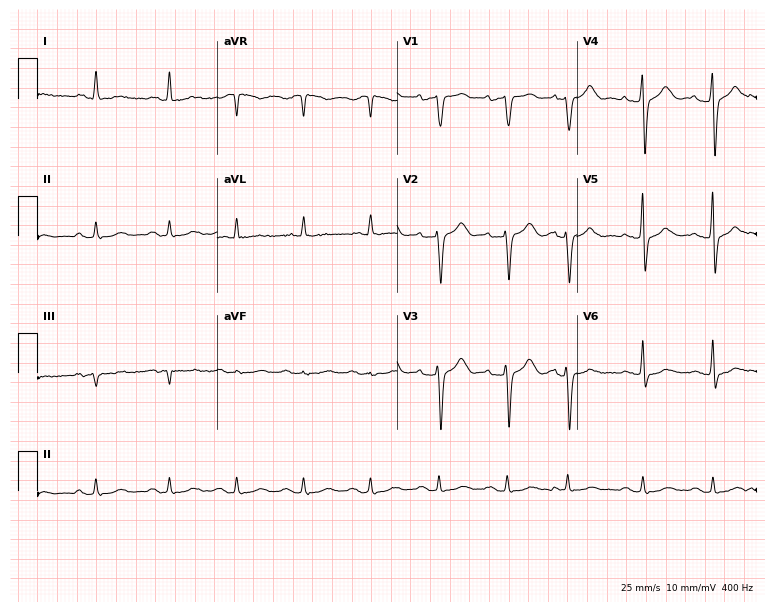
Resting 12-lead electrocardiogram (7.3-second recording at 400 Hz). Patient: a 74-year-old female. None of these six findings is recorded: first-degree AV block, right bundle branch block, left bundle branch block, sinus bradycardia, atrial fibrillation, sinus tachycardia. Findings outside these six are not listed.